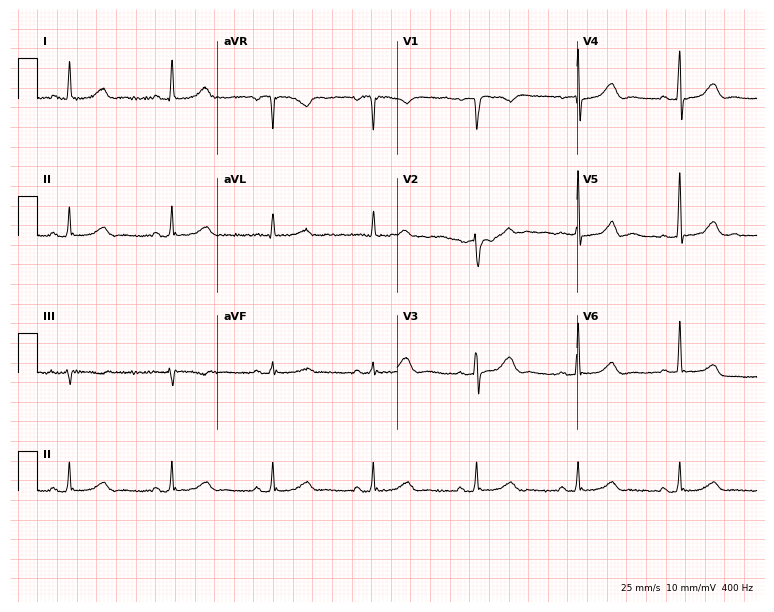
ECG (7.3-second recording at 400 Hz) — a female, 53 years old. Labelled as a normal ECG.